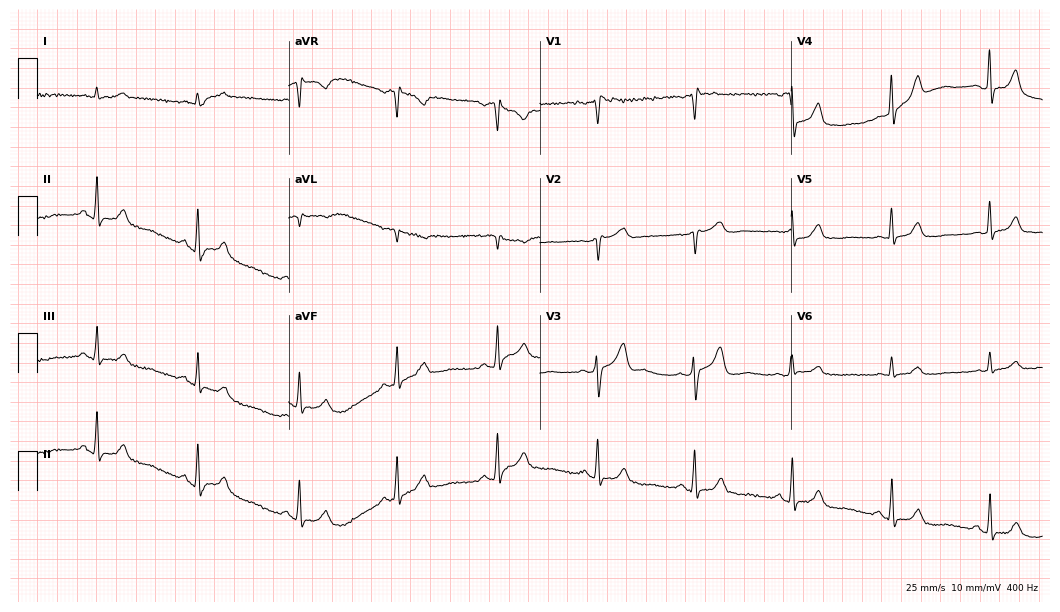
12-lead ECG from a male, 84 years old. Recorded interpretation: within normal limits.